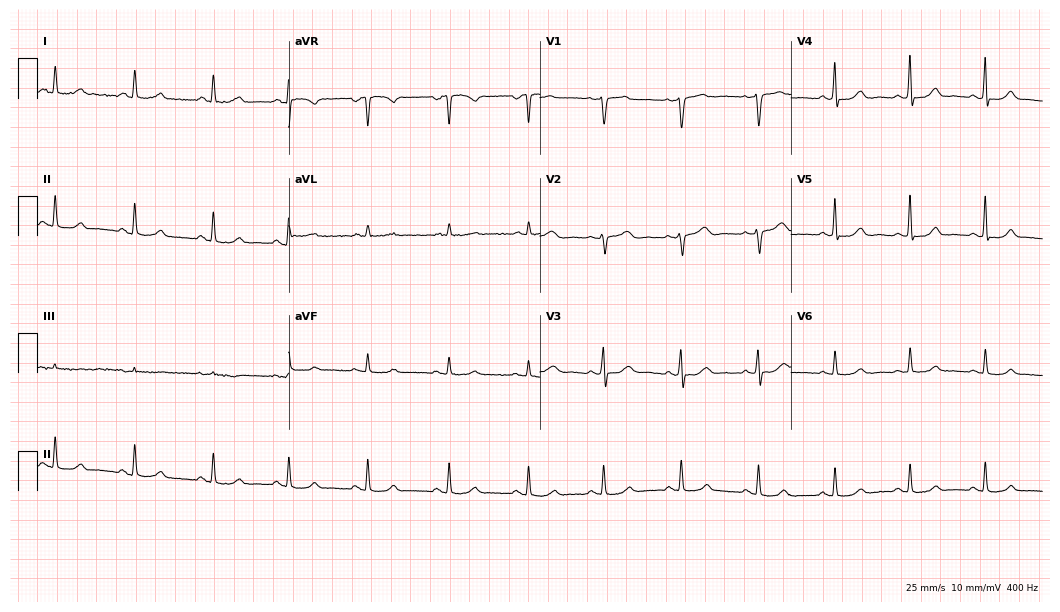
12-lead ECG from a woman, 48 years old (10.2-second recording at 400 Hz). Recorded interpretation: within normal limits.